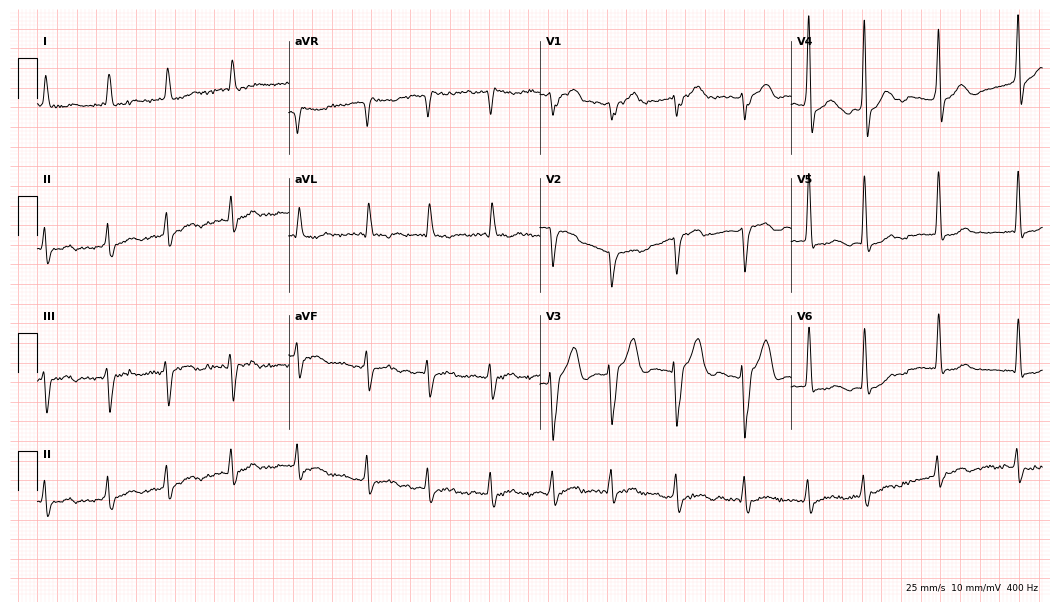
12-lead ECG (10.2-second recording at 400 Hz) from a male, 80 years old. Findings include first-degree AV block, atrial fibrillation.